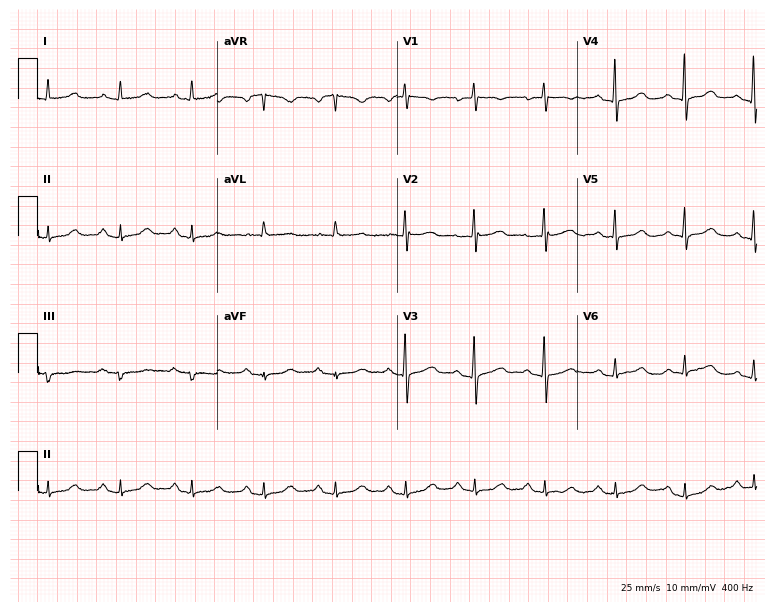
Standard 12-lead ECG recorded from a woman, 61 years old (7.3-second recording at 400 Hz). Read as a normal ECG.